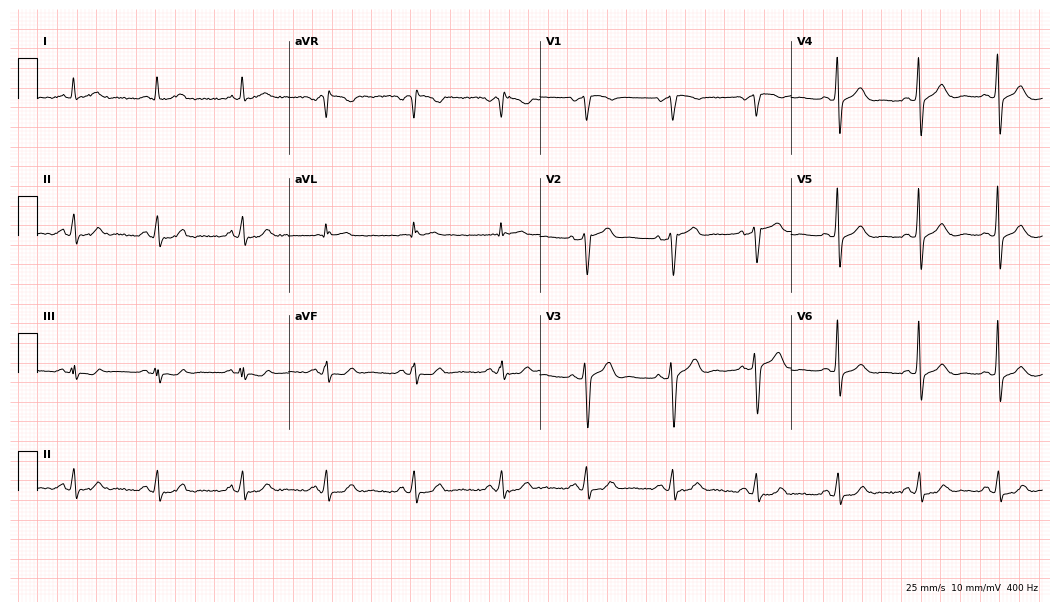
Resting 12-lead electrocardiogram. Patient: a male, 60 years old. Read as a normal ECG.